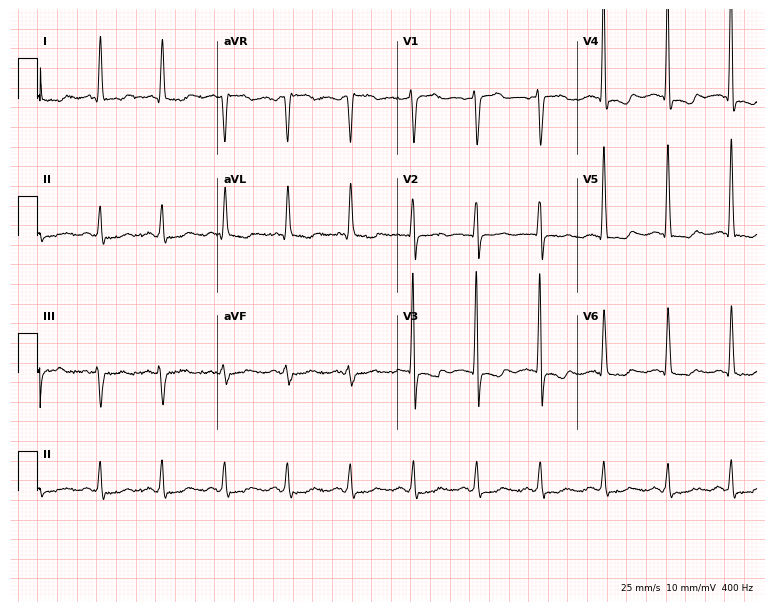
Resting 12-lead electrocardiogram (7.3-second recording at 400 Hz). Patient: an 85-year-old female. None of these six findings is recorded: first-degree AV block, right bundle branch block (RBBB), left bundle branch block (LBBB), sinus bradycardia, atrial fibrillation (AF), sinus tachycardia. Only these six findings were labelled.